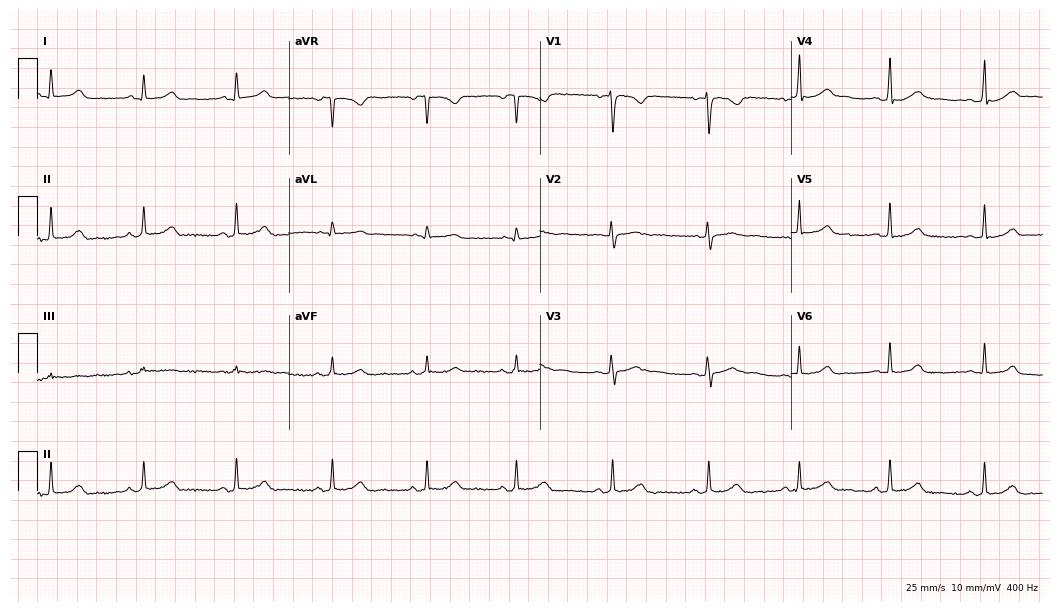
Standard 12-lead ECG recorded from a female patient, 20 years old (10.2-second recording at 400 Hz). Read as a normal ECG.